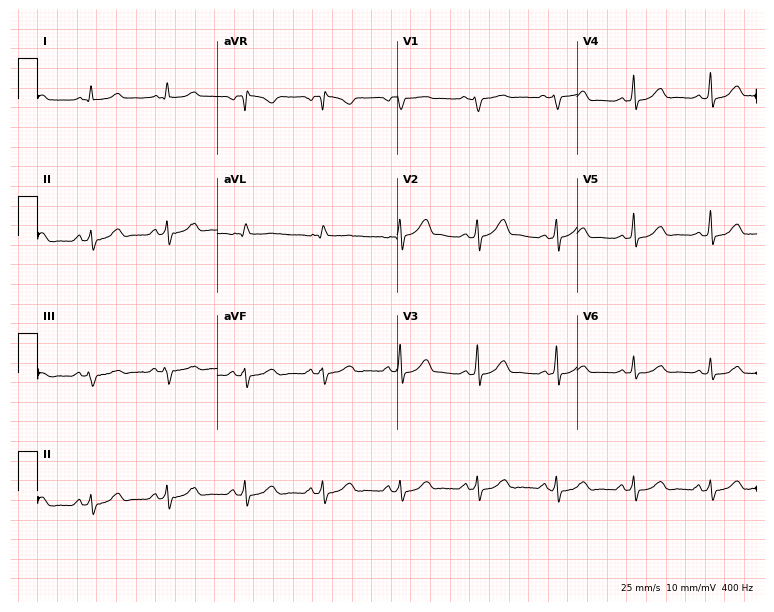
12-lead ECG from a female patient, 43 years old. Screened for six findings — first-degree AV block, right bundle branch block, left bundle branch block, sinus bradycardia, atrial fibrillation, sinus tachycardia — none is recorded. Other findings, if any, are not listed.